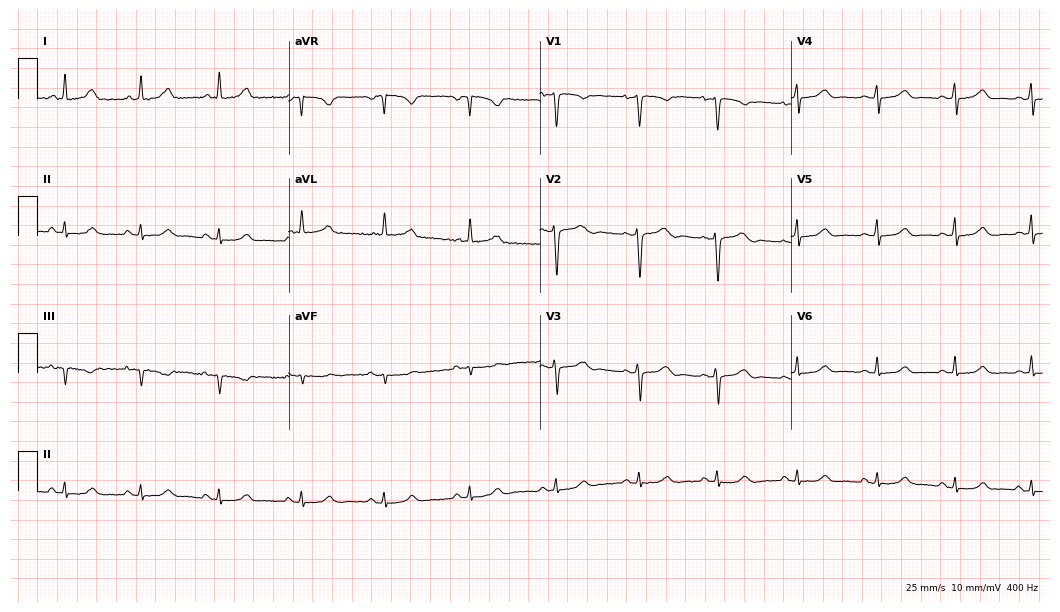
ECG (10.2-second recording at 400 Hz) — a 37-year-old female patient. Screened for six findings — first-degree AV block, right bundle branch block, left bundle branch block, sinus bradycardia, atrial fibrillation, sinus tachycardia — none is recorded. Other findings, if any, are not listed.